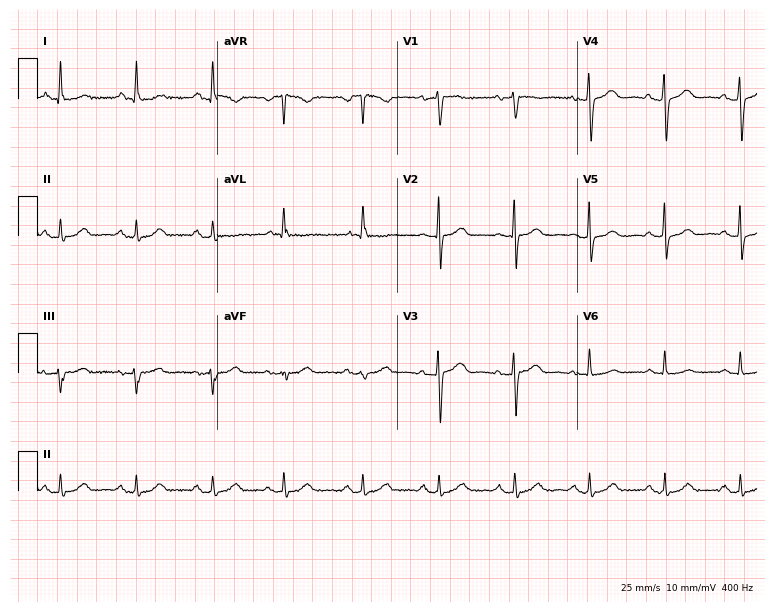
Electrocardiogram, a 68-year-old female patient. Overall reading on record: normal ECG.